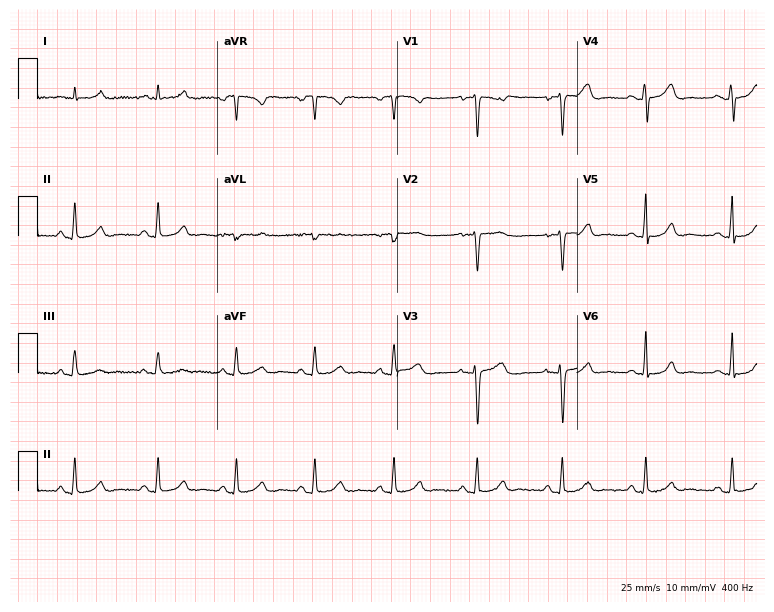
ECG — a 35-year-old female. Labelled as a normal ECG.